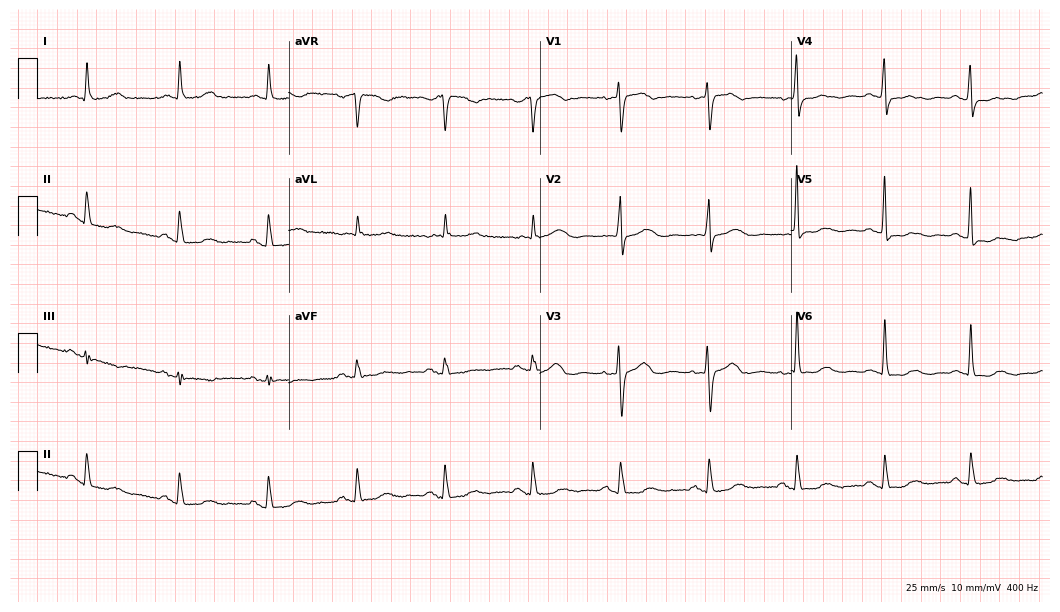
Resting 12-lead electrocardiogram (10.2-second recording at 400 Hz). Patient: a female, 80 years old. None of these six findings is recorded: first-degree AV block, right bundle branch block, left bundle branch block, sinus bradycardia, atrial fibrillation, sinus tachycardia. Other findings, if any, are not listed.